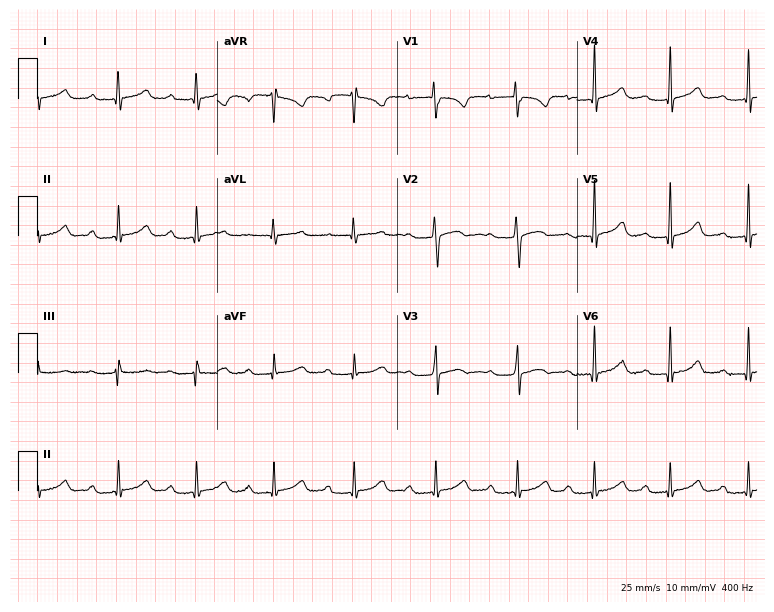
12-lead ECG (7.3-second recording at 400 Hz) from a 20-year-old female. Findings include first-degree AV block.